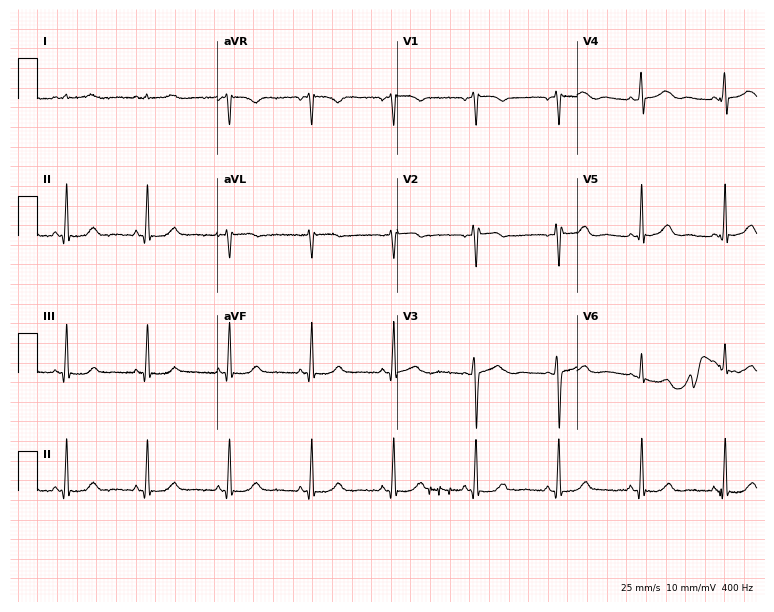
Electrocardiogram, a 54-year-old woman. Of the six screened findings (first-degree AV block, right bundle branch block, left bundle branch block, sinus bradycardia, atrial fibrillation, sinus tachycardia), none is recorded. Only these six findings were labelled.